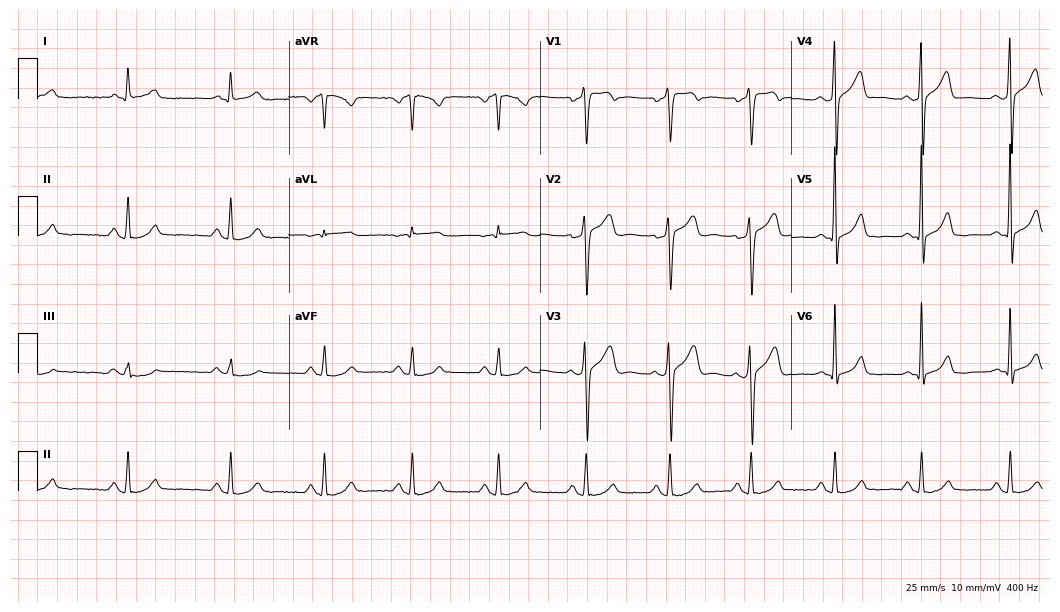
Electrocardiogram (10.2-second recording at 400 Hz), a male patient, 52 years old. Overall reading on record: normal ECG.